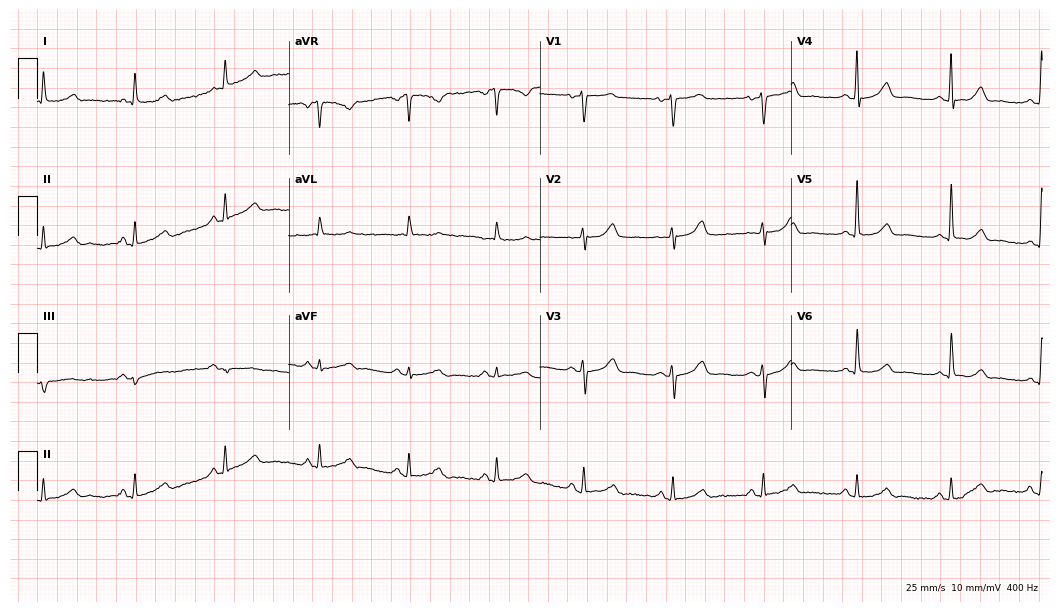
ECG (10.2-second recording at 400 Hz) — a 75-year-old female. Labelled as a normal ECG.